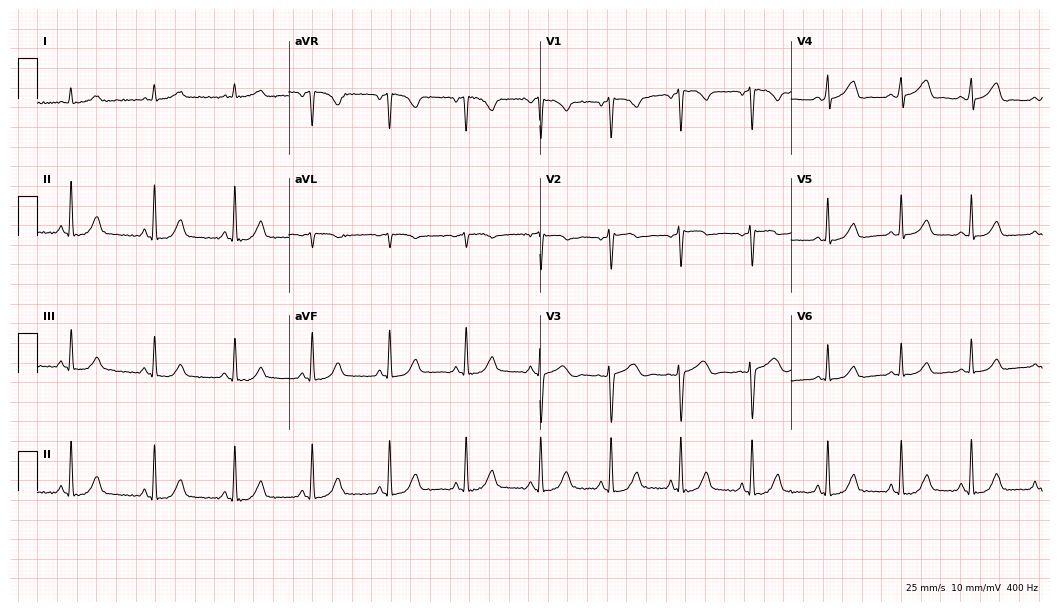
Resting 12-lead electrocardiogram. Patient: a female, 39 years old. Read as a normal ECG.